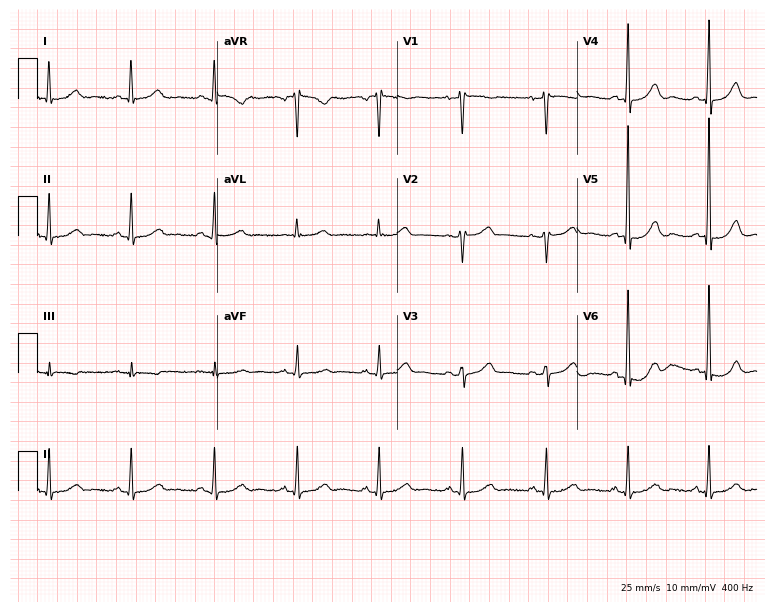
12-lead ECG from a female, 60 years old. Labelled as a normal ECG.